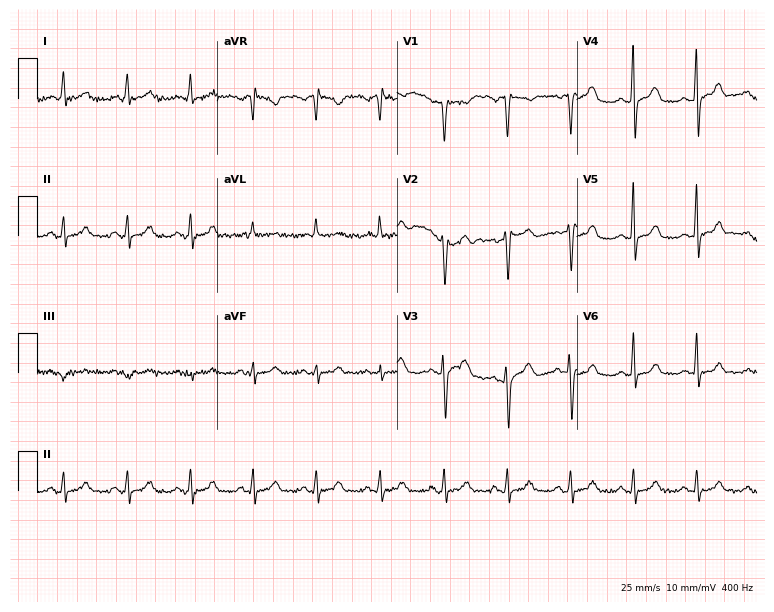
ECG (7.3-second recording at 400 Hz) — a 41-year-old female. Labelled as a normal ECG.